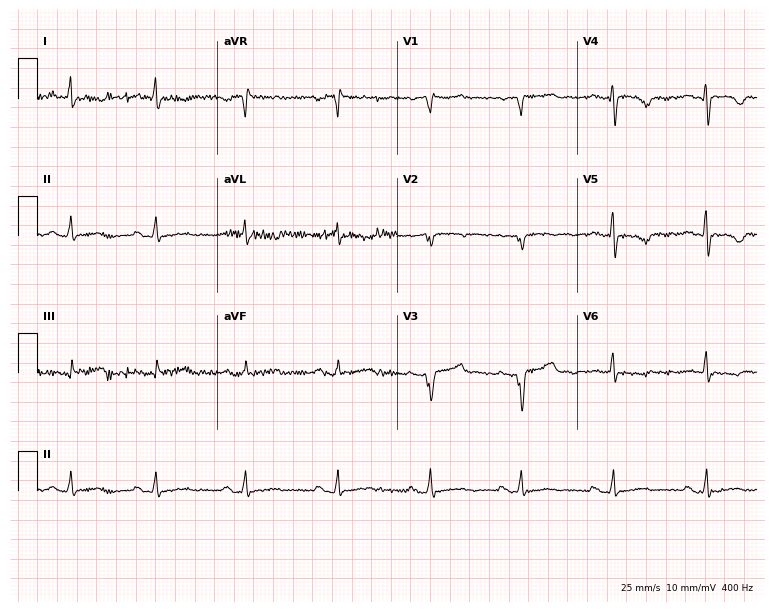
Standard 12-lead ECG recorded from a female patient, 36 years old. The tracing shows first-degree AV block.